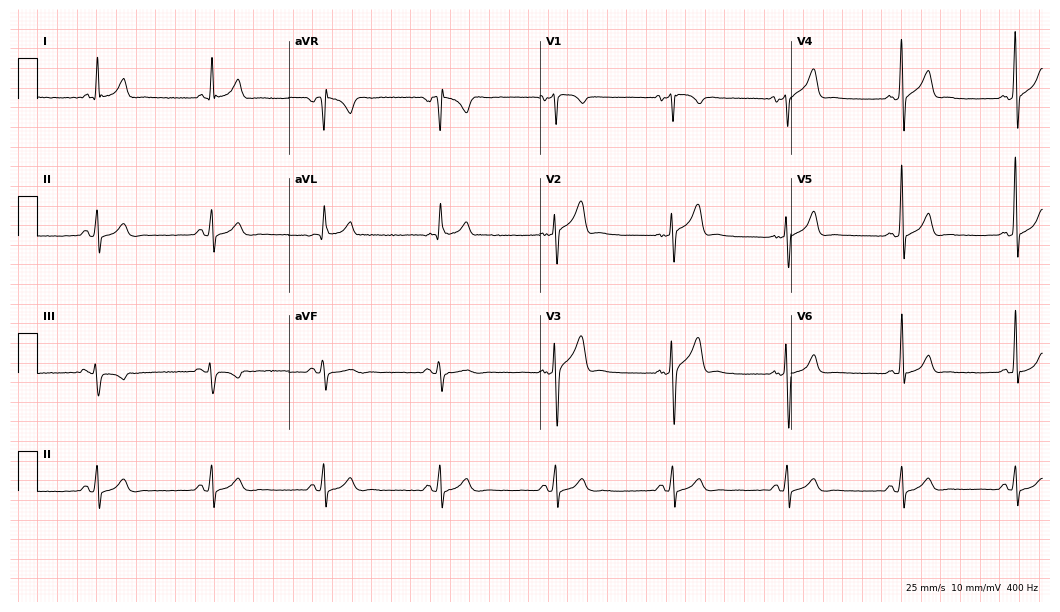
ECG — a man, 43 years old. Labelled as a normal ECG.